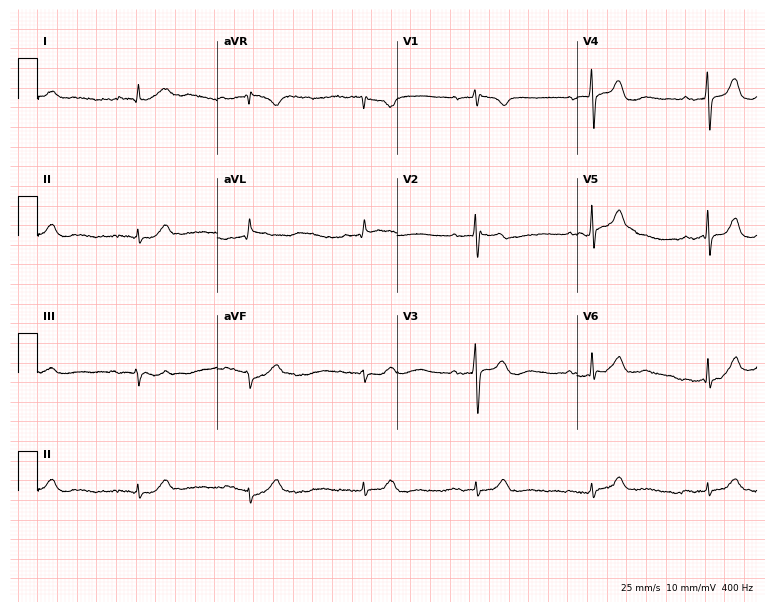
12-lead ECG (7.3-second recording at 400 Hz) from a 74-year-old man. Screened for six findings — first-degree AV block, right bundle branch block (RBBB), left bundle branch block (LBBB), sinus bradycardia, atrial fibrillation (AF), sinus tachycardia — none is recorded. Findings outside these six are not listed.